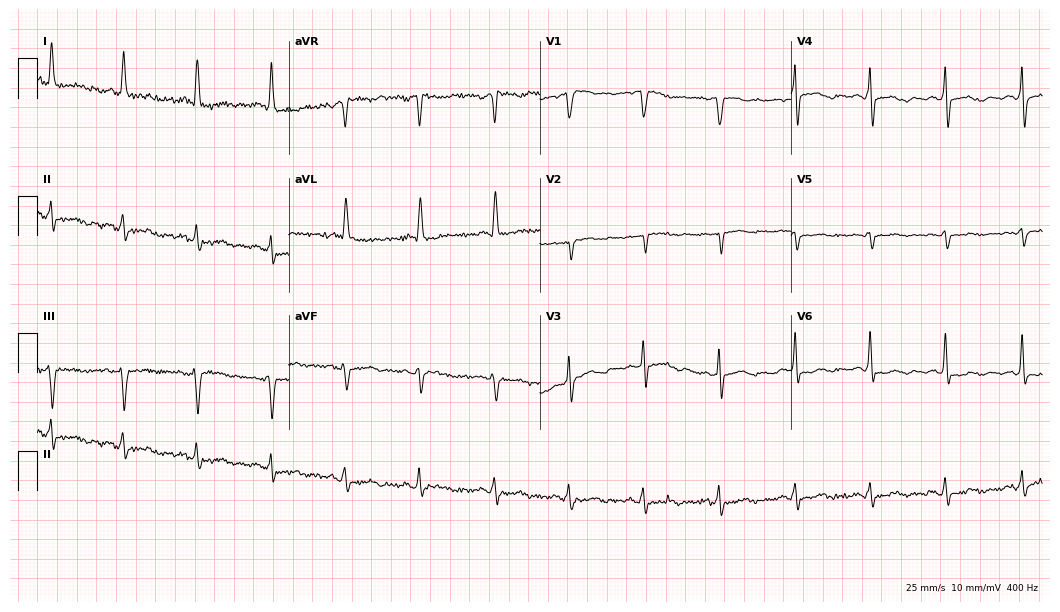
Resting 12-lead electrocardiogram (10.2-second recording at 400 Hz). Patient: a female, 75 years old. None of these six findings is recorded: first-degree AV block, right bundle branch block, left bundle branch block, sinus bradycardia, atrial fibrillation, sinus tachycardia.